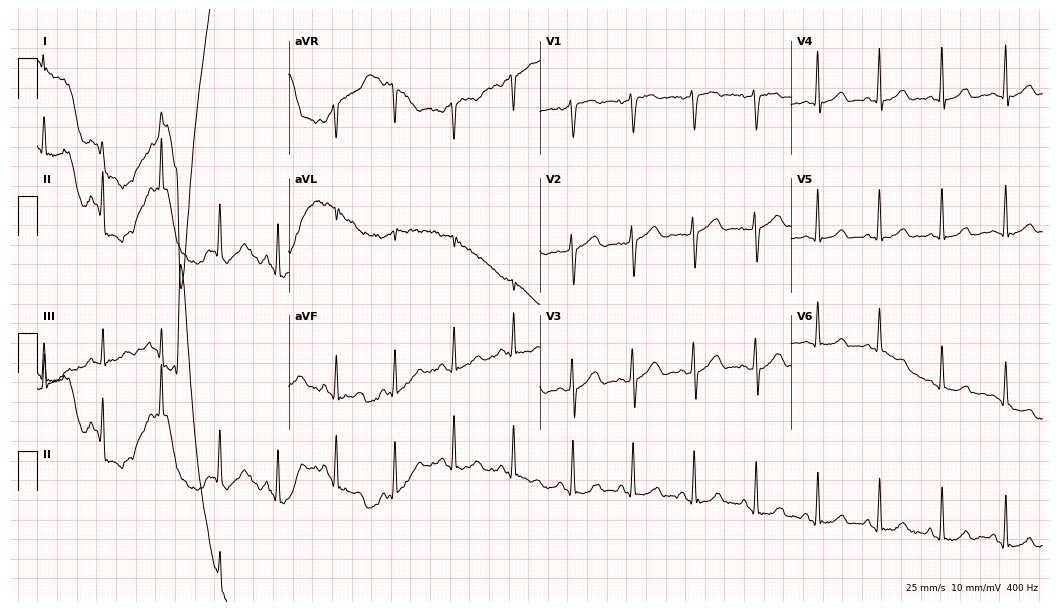
Electrocardiogram, a male, 69 years old. Of the six screened findings (first-degree AV block, right bundle branch block (RBBB), left bundle branch block (LBBB), sinus bradycardia, atrial fibrillation (AF), sinus tachycardia), none is recorded. Only these six findings were labelled.